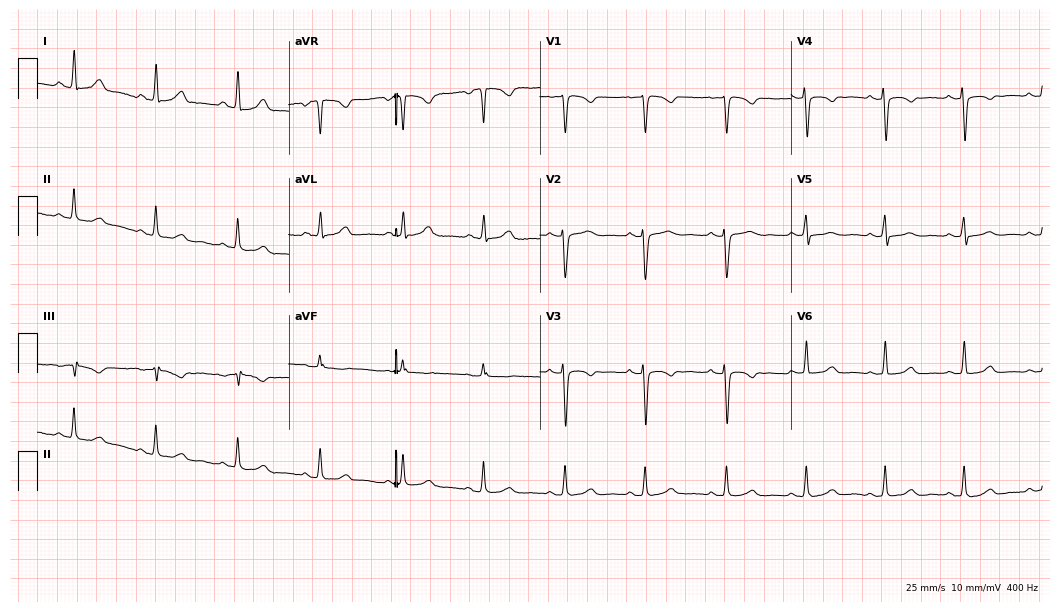
Standard 12-lead ECG recorded from a 44-year-old female patient (10.2-second recording at 400 Hz). None of these six findings is recorded: first-degree AV block, right bundle branch block, left bundle branch block, sinus bradycardia, atrial fibrillation, sinus tachycardia.